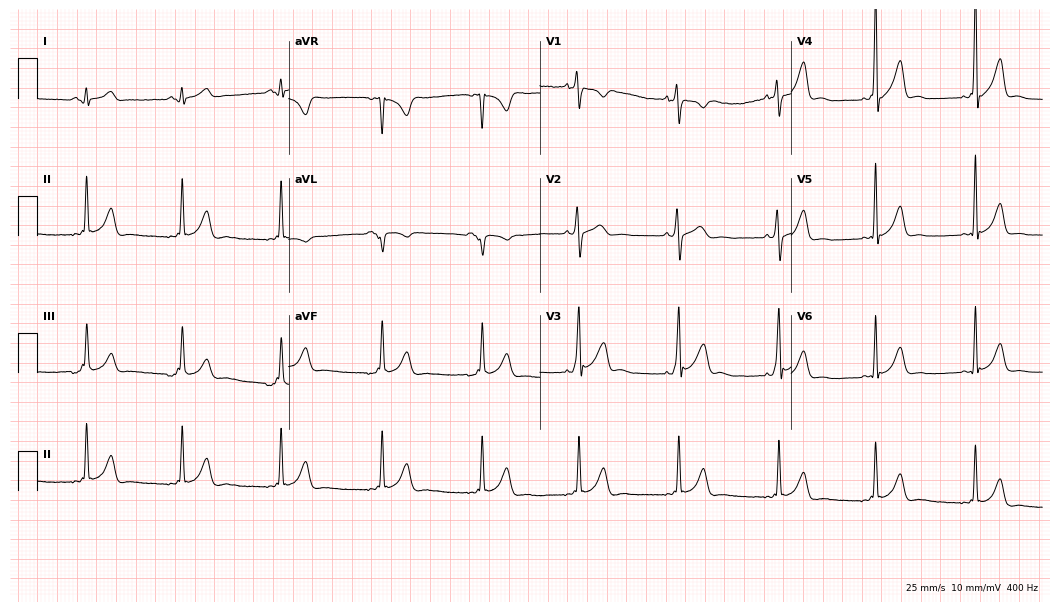
Electrocardiogram, a male patient, 18 years old. Of the six screened findings (first-degree AV block, right bundle branch block, left bundle branch block, sinus bradycardia, atrial fibrillation, sinus tachycardia), none is recorded. Other findings, if any, are not listed.